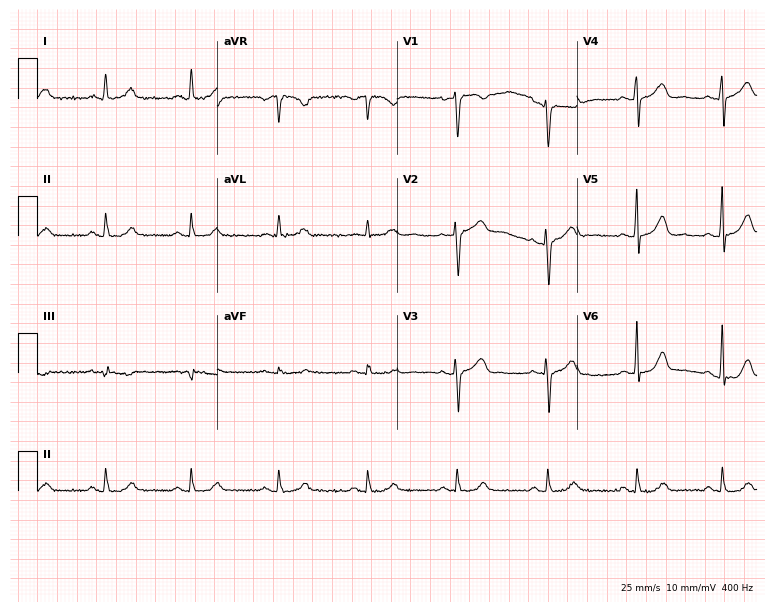
Electrocardiogram (7.3-second recording at 400 Hz), a female patient, 51 years old. Overall reading on record: normal ECG.